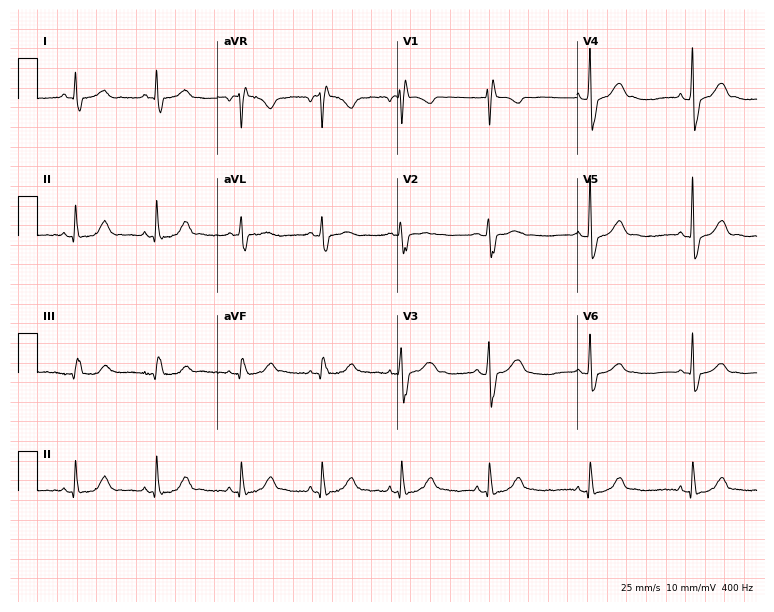
12-lead ECG from a 32-year-old male. Findings include right bundle branch block.